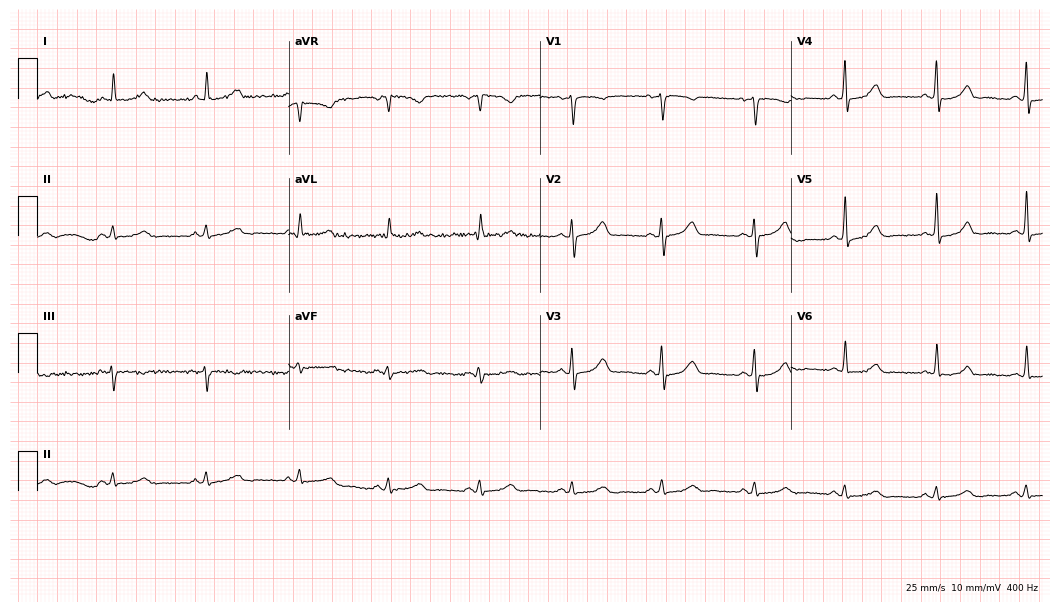
Standard 12-lead ECG recorded from a 65-year-old woman (10.2-second recording at 400 Hz). None of these six findings is recorded: first-degree AV block, right bundle branch block, left bundle branch block, sinus bradycardia, atrial fibrillation, sinus tachycardia. Only these six findings were labelled.